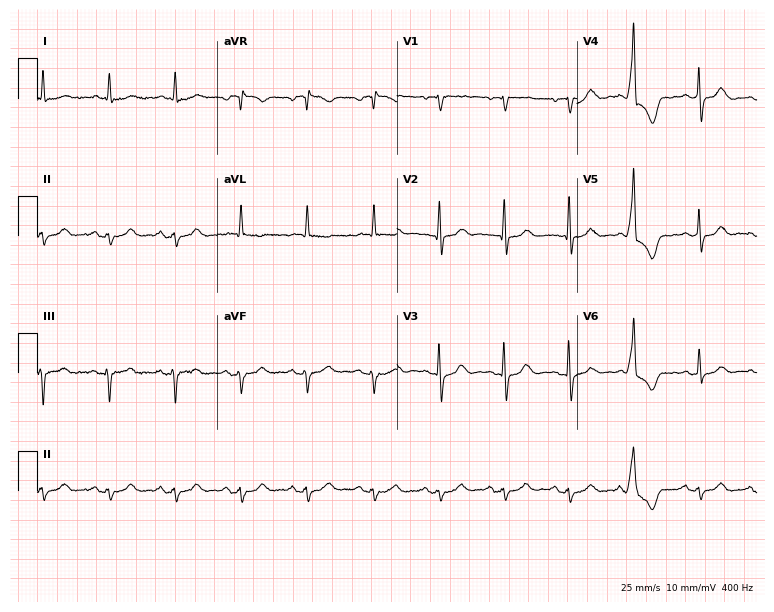
12-lead ECG from a 74-year-old male. Screened for six findings — first-degree AV block, right bundle branch block, left bundle branch block, sinus bradycardia, atrial fibrillation, sinus tachycardia — none is recorded. Only these six findings were labelled.